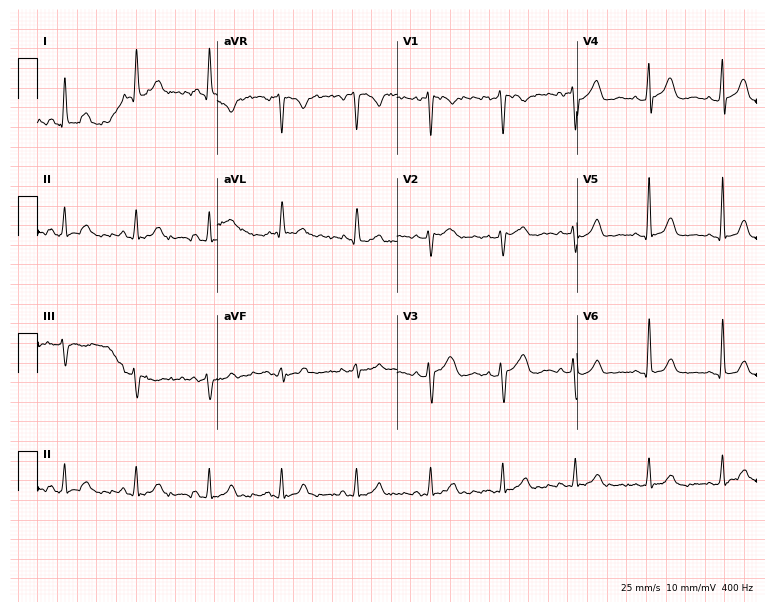
ECG (7.3-second recording at 400 Hz) — a 39-year-old female. Screened for six findings — first-degree AV block, right bundle branch block, left bundle branch block, sinus bradycardia, atrial fibrillation, sinus tachycardia — none is recorded.